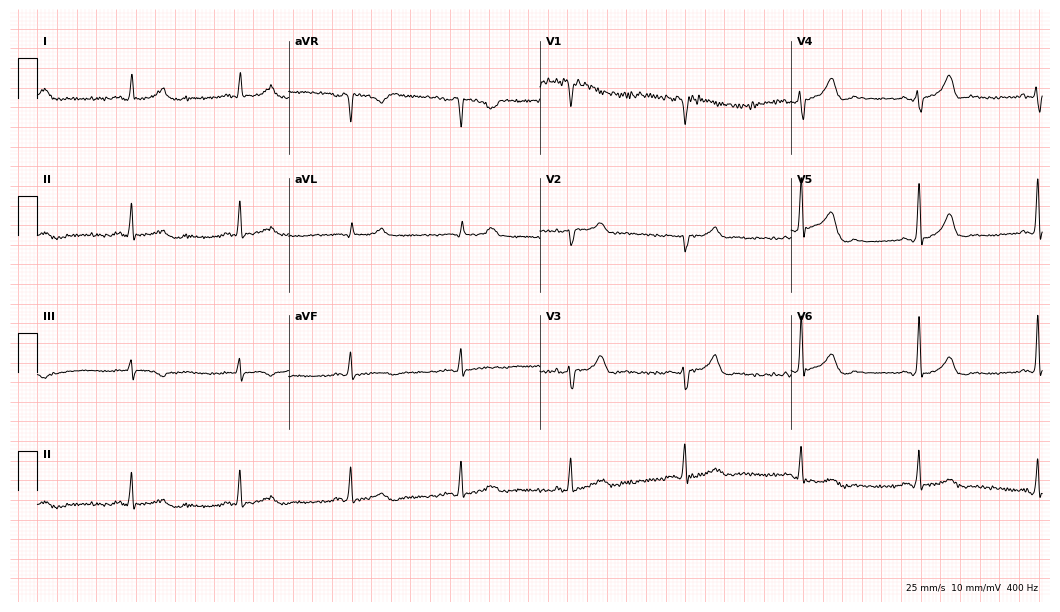
Standard 12-lead ECG recorded from a 59-year-old female patient. The tracing shows sinus bradycardia (a sinus rate of 50 beats per minute or less).